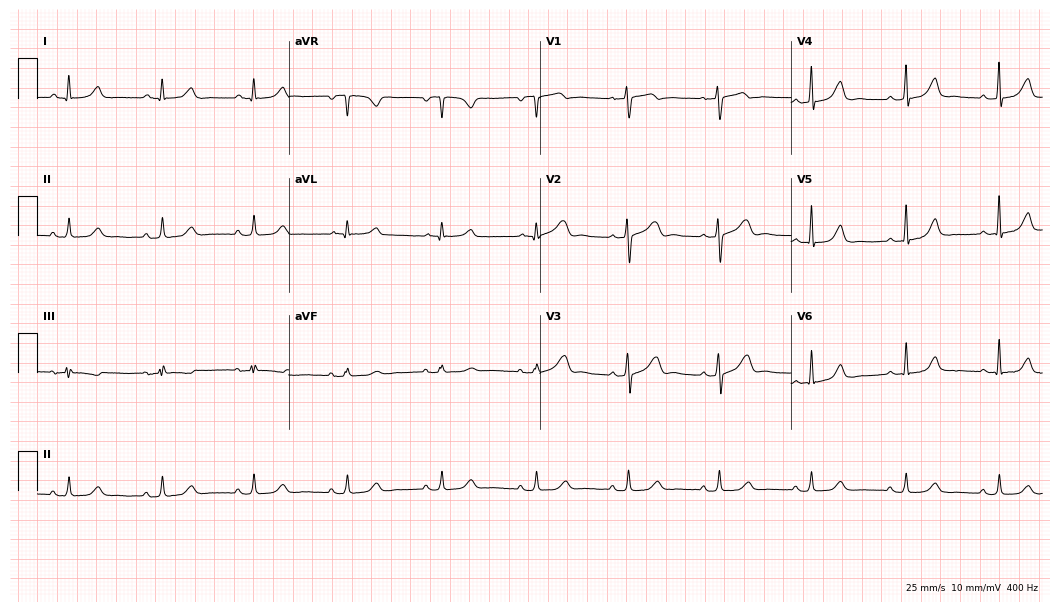
Resting 12-lead electrocardiogram (10.2-second recording at 400 Hz). Patient: a 52-year-old woman. Read as a normal ECG.